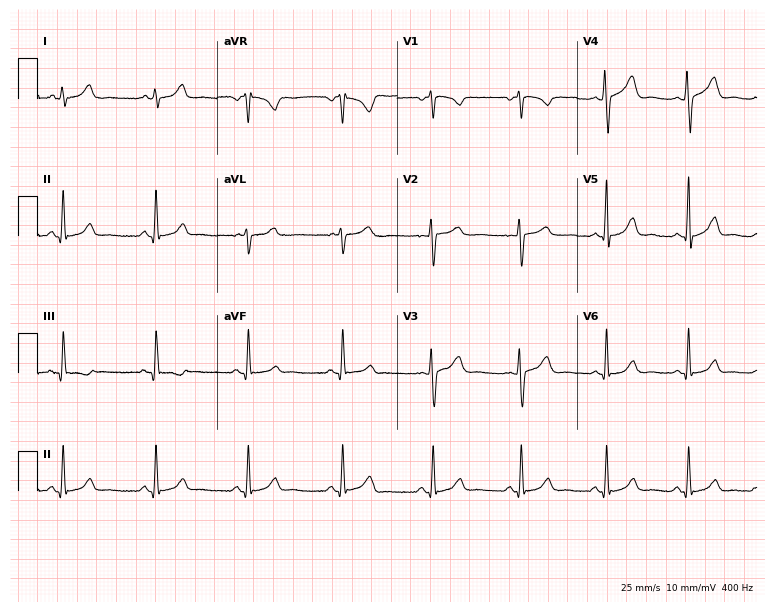
Resting 12-lead electrocardiogram (7.3-second recording at 400 Hz). Patient: a 29-year-old female. None of these six findings is recorded: first-degree AV block, right bundle branch block, left bundle branch block, sinus bradycardia, atrial fibrillation, sinus tachycardia. Only these six findings were labelled.